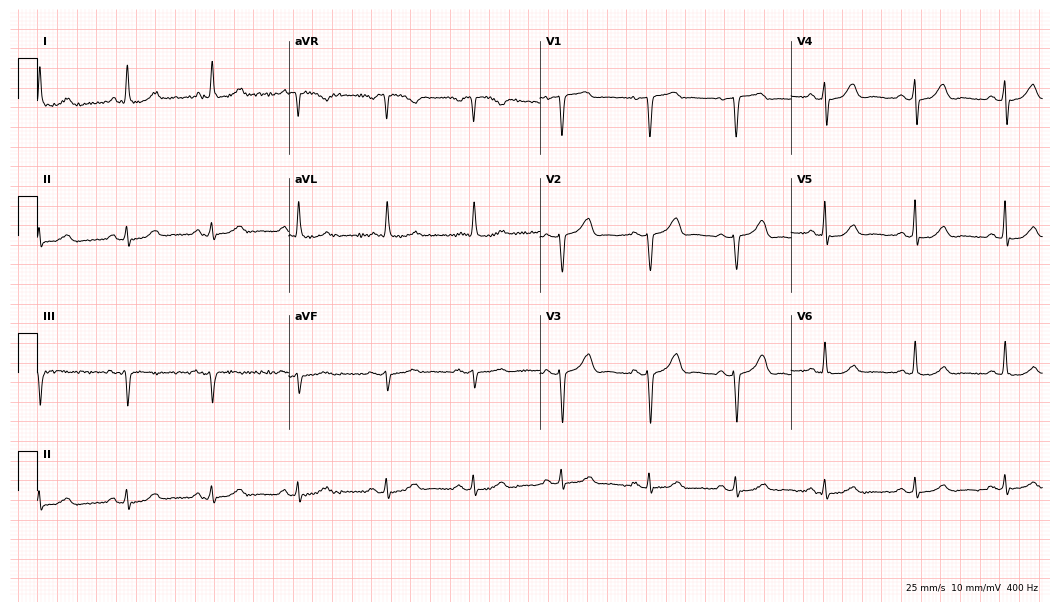
ECG — a 68-year-old woman. Screened for six findings — first-degree AV block, right bundle branch block, left bundle branch block, sinus bradycardia, atrial fibrillation, sinus tachycardia — none is recorded.